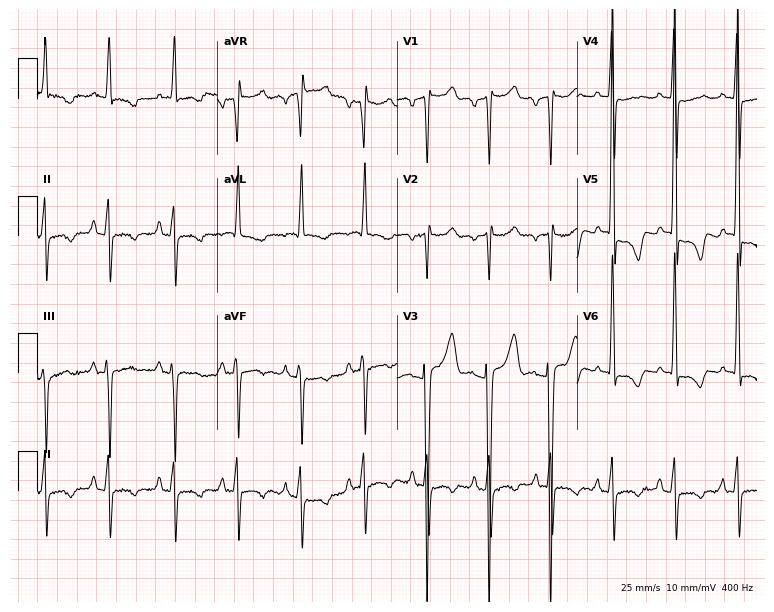
Electrocardiogram (7.3-second recording at 400 Hz), a 57-year-old male patient. Of the six screened findings (first-degree AV block, right bundle branch block (RBBB), left bundle branch block (LBBB), sinus bradycardia, atrial fibrillation (AF), sinus tachycardia), none is recorded.